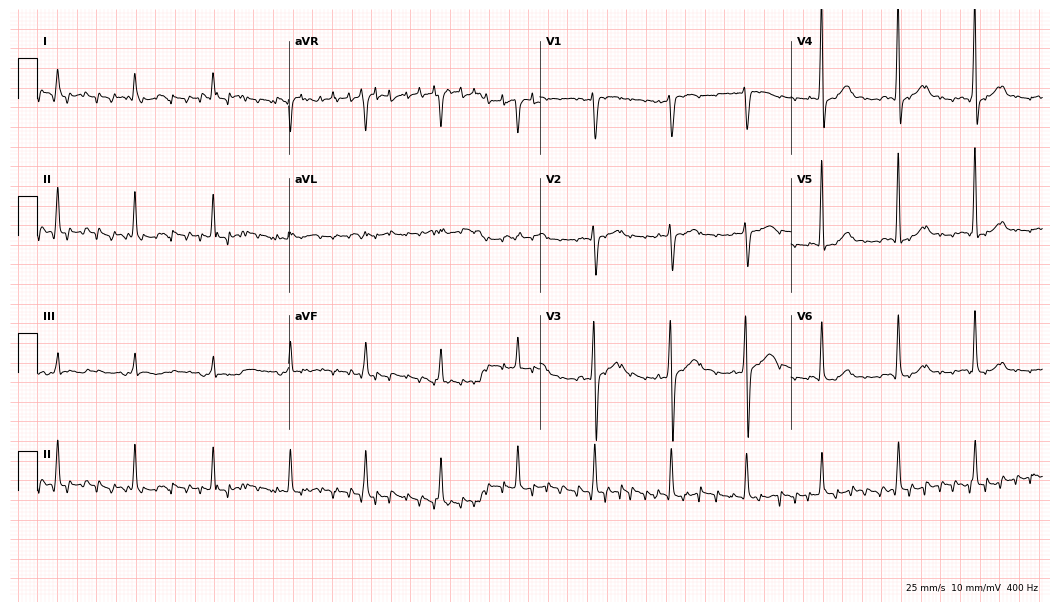
Resting 12-lead electrocardiogram (10.2-second recording at 400 Hz). Patient: a 53-year-old male. None of these six findings is recorded: first-degree AV block, right bundle branch block, left bundle branch block, sinus bradycardia, atrial fibrillation, sinus tachycardia.